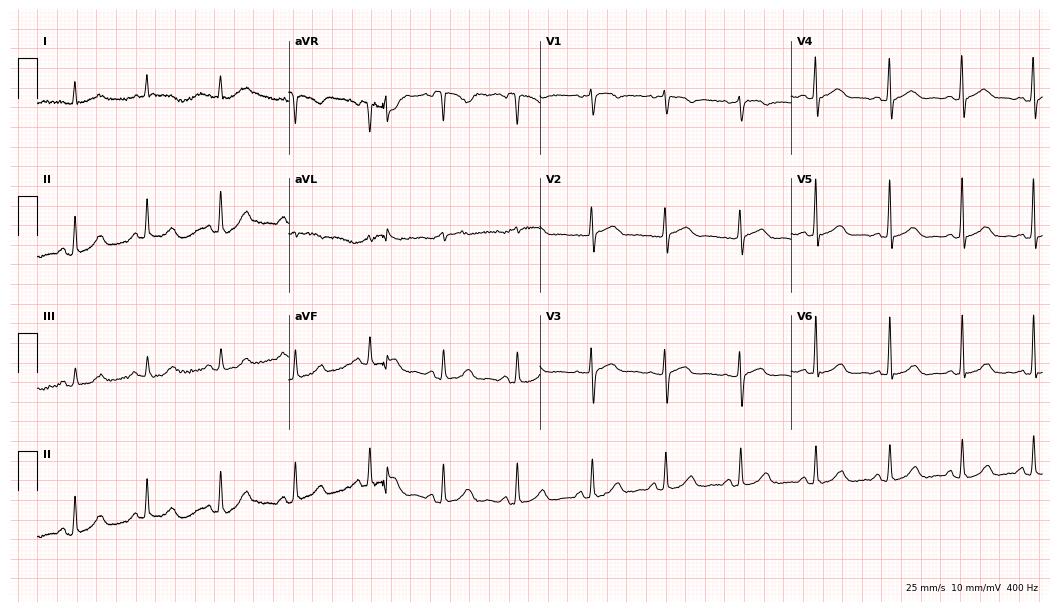
Electrocardiogram (10.2-second recording at 400 Hz), a female, 57 years old. Overall reading on record: normal ECG.